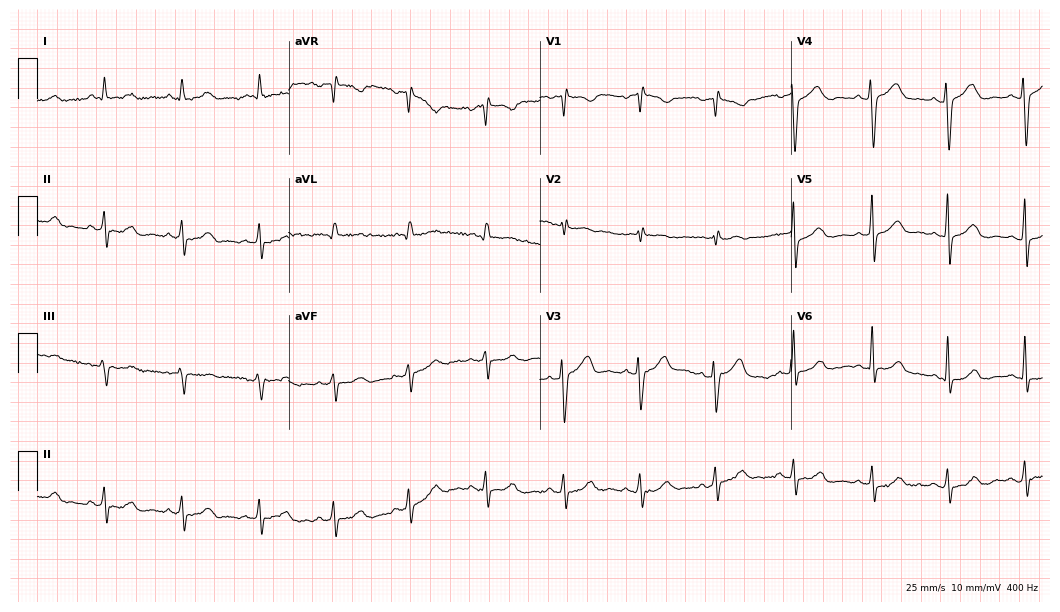
Resting 12-lead electrocardiogram. Patient: a female, 39 years old. None of these six findings is recorded: first-degree AV block, right bundle branch block, left bundle branch block, sinus bradycardia, atrial fibrillation, sinus tachycardia.